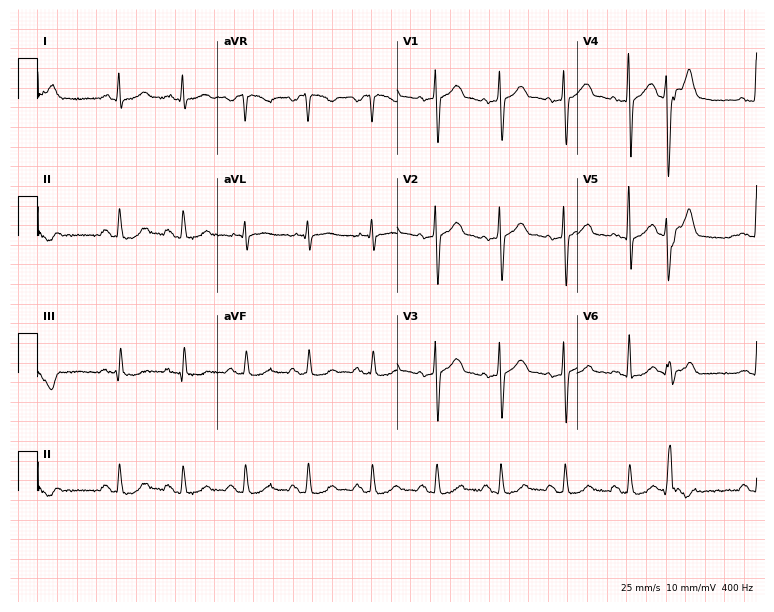
ECG (7.3-second recording at 400 Hz) — a 42-year-old male. Screened for six findings — first-degree AV block, right bundle branch block, left bundle branch block, sinus bradycardia, atrial fibrillation, sinus tachycardia — none is recorded. Only these six findings were labelled.